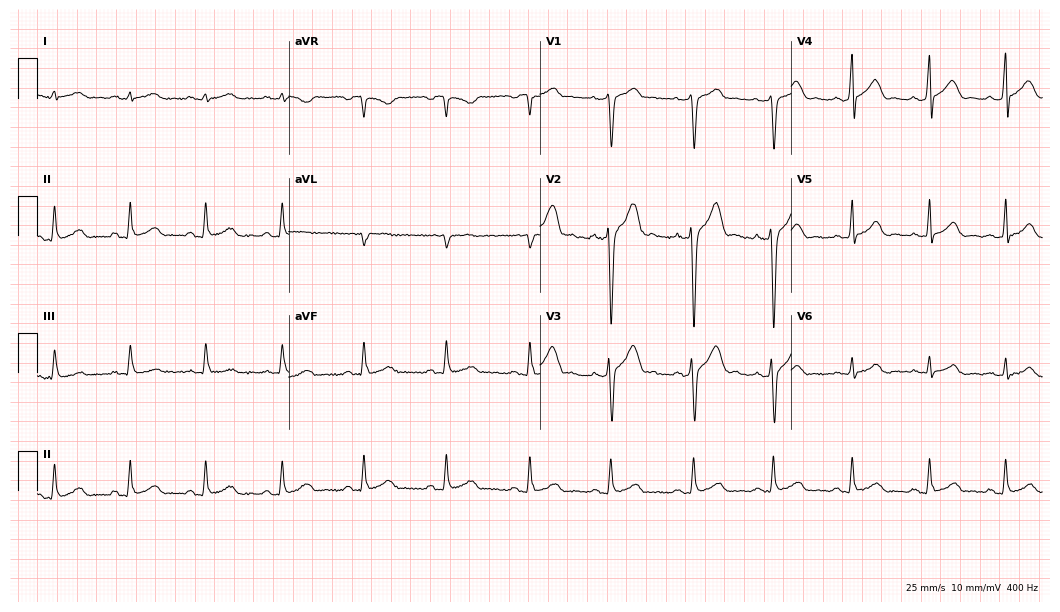
Electrocardiogram, a 21-year-old male. Overall reading on record: normal ECG.